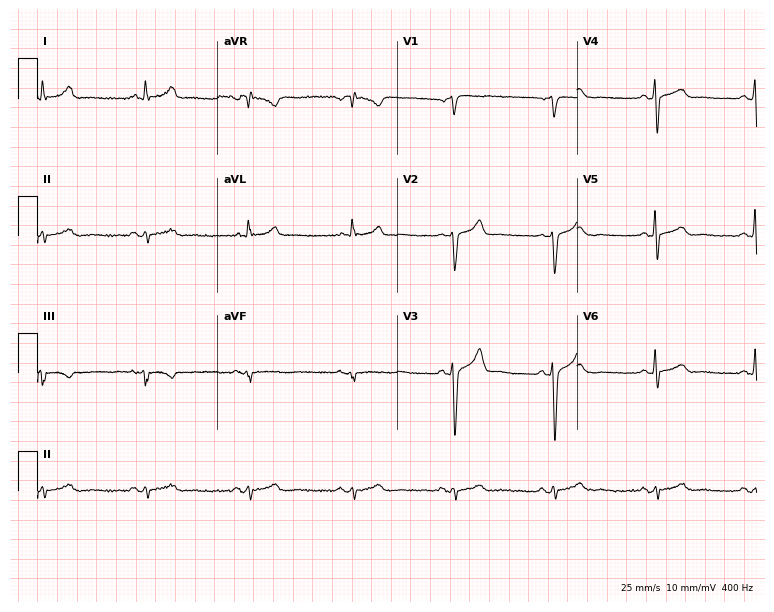
12-lead ECG (7.3-second recording at 400 Hz) from a 55-year-old male patient. Screened for six findings — first-degree AV block, right bundle branch block (RBBB), left bundle branch block (LBBB), sinus bradycardia, atrial fibrillation (AF), sinus tachycardia — none is recorded. Only these six findings were labelled.